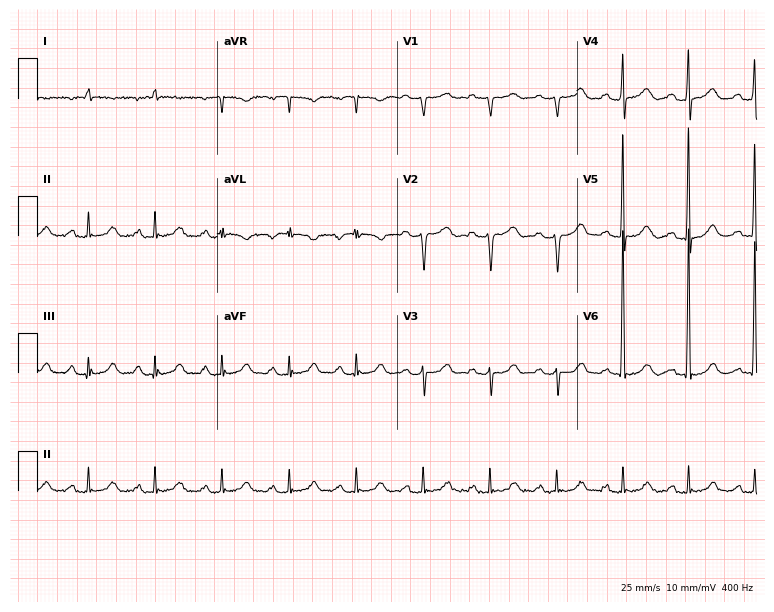
12-lead ECG (7.3-second recording at 400 Hz) from a 69-year-old female. Screened for six findings — first-degree AV block, right bundle branch block, left bundle branch block, sinus bradycardia, atrial fibrillation, sinus tachycardia — none is recorded. Findings outside these six are not listed.